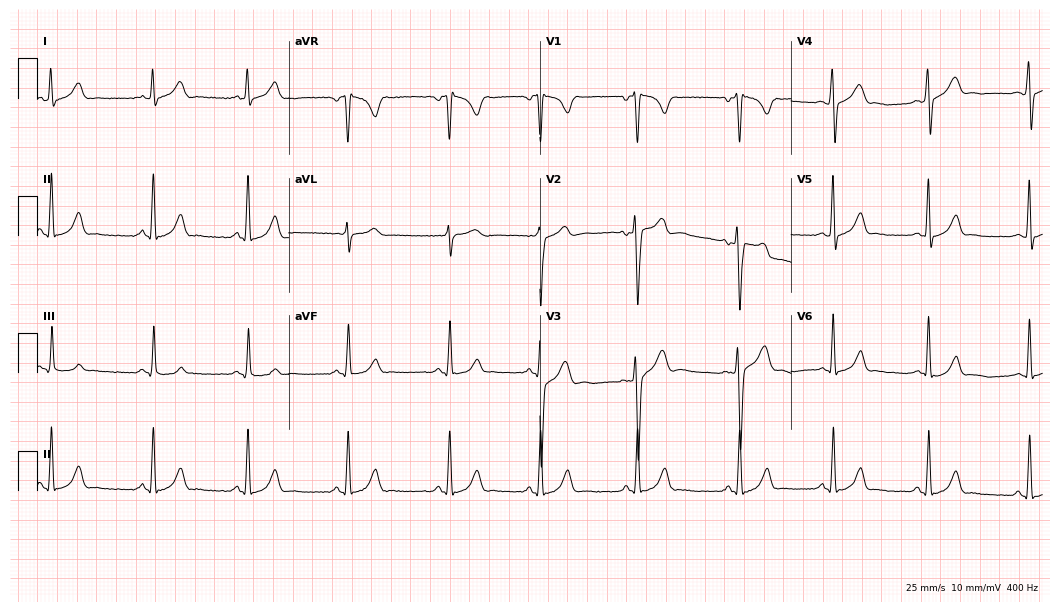
12-lead ECG from a man, 19 years old. Labelled as a normal ECG.